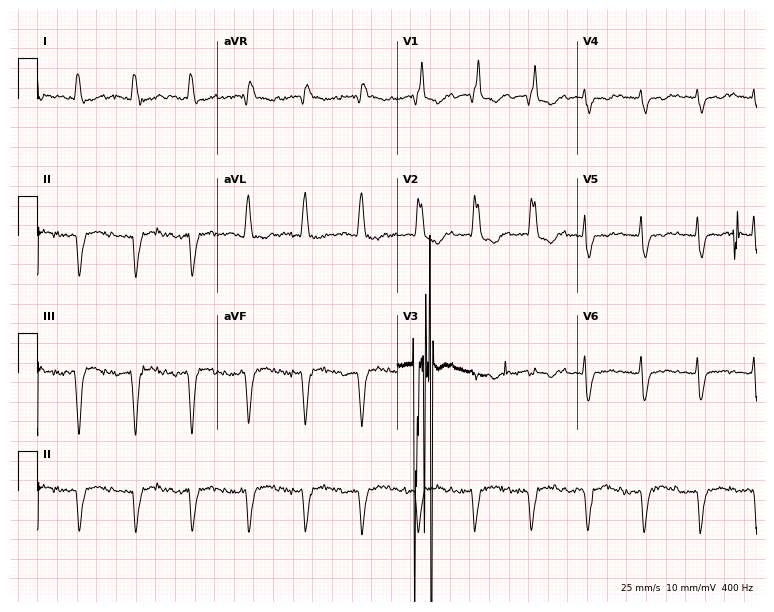
12-lead ECG from a male patient, 77 years old. Findings include right bundle branch block.